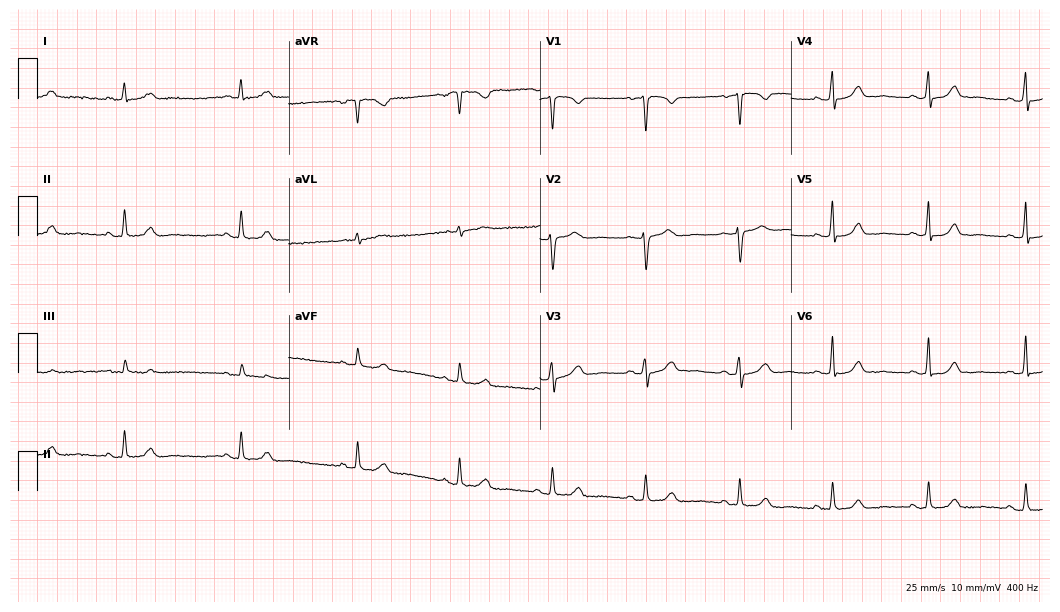
Standard 12-lead ECG recorded from a female patient, 41 years old. None of these six findings is recorded: first-degree AV block, right bundle branch block, left bundle branch block, sinus bradycardia, atrial fibrillation, sinus tachycardia. Other findings, if any, are not listed.